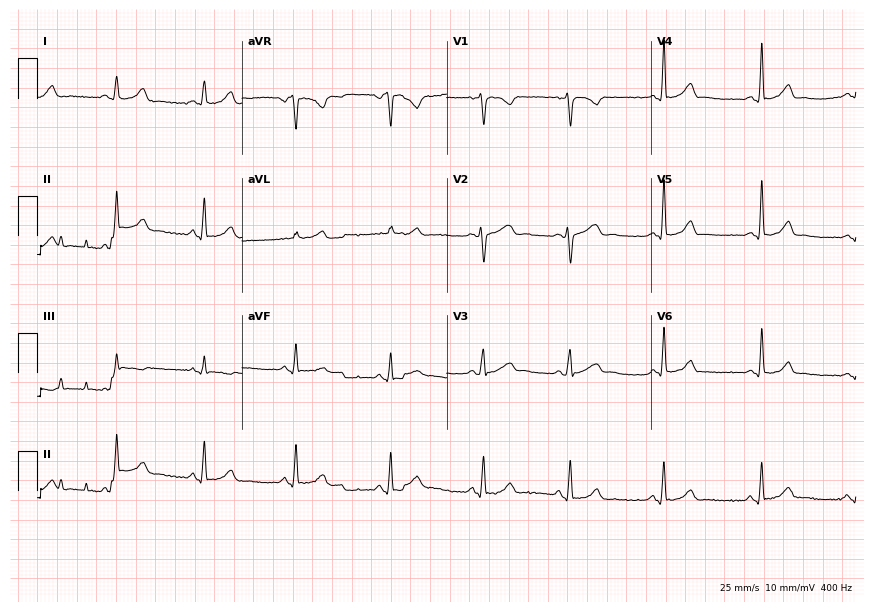
Resting 12-lead electrocardiogram (8.3-second recording at 400 Hz). Patient: a 28-year-old female. None of these six findings is recorded: first-degree AV block, right bundle branch block, left bundle branch block, sinus bradycardia, atrial fibrillation, sinus tachycardia. Findings outside these six are not listed.